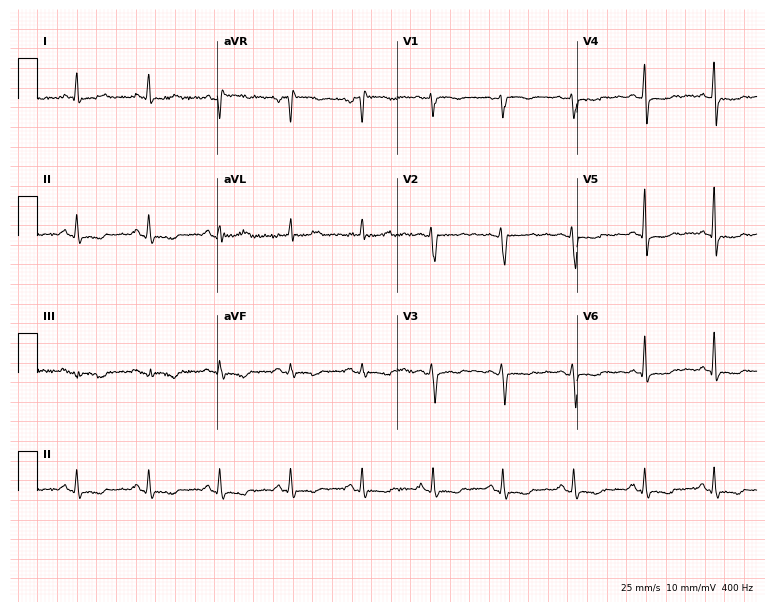
12-lead ECG from a 49-year-old female. No first-degree AV block, right bundle branch block (RBBB), left bundle branch block (LBBB), sinus bradycardia, atrial fibrillation (AF) or sinus tachycardia recorded for this tracing. Only these six findings were labelled.